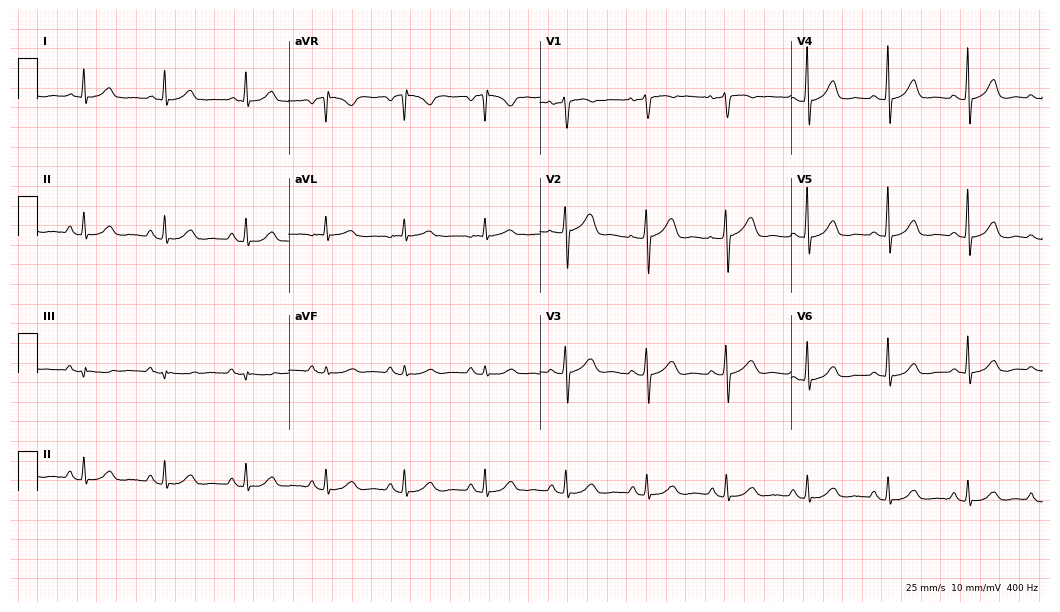
Electrocardiogram, a 69-year-old female. Of the six screened findings (first-degree AV block, right bundle branch block, left bundle branch block, sinus bradycardia, atrial fibrillation, sinus tachycardia), none is recorded. Findings outside these six are not listed.